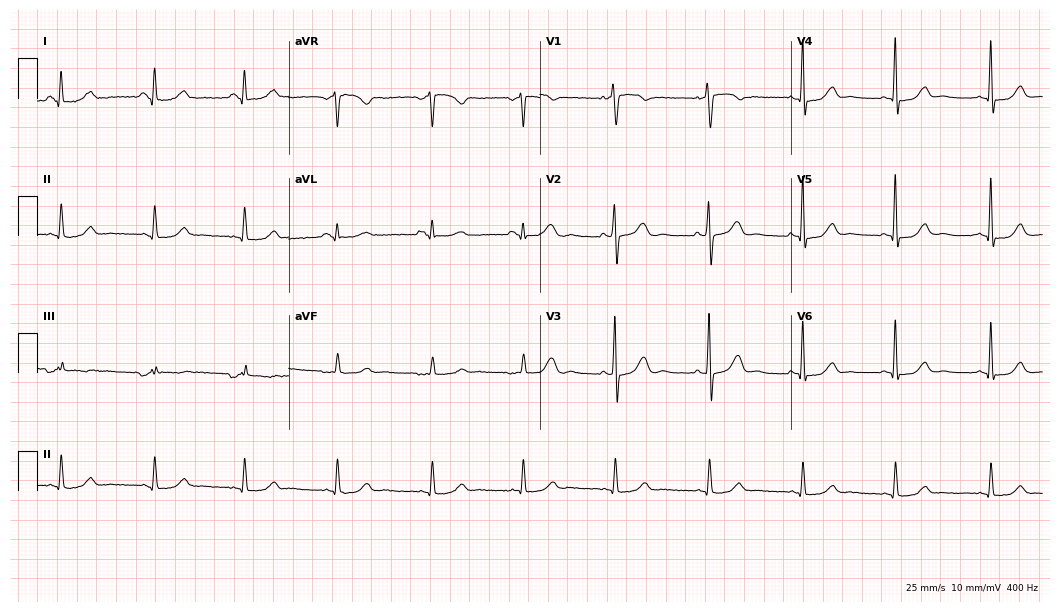
12-lead ECG (10.2-second recording at 400 Hz) from a 71-year-old female. Screened for six findings — first-degree AV block, right bundle branch block, left bundle branch block, sinus bradycardia, atrial fibrillation, sinus tachycardia — none is recorded. Other findings, if any, are not listed.